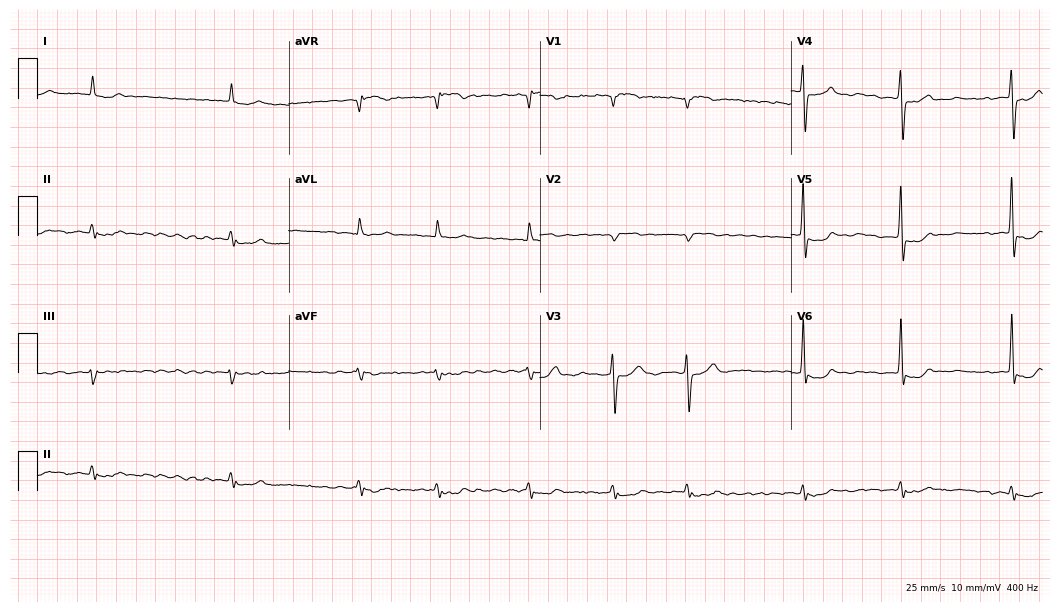
12-lead ECG from a female, 82 years old (10.2-second recording at 400 Hz). Shows atrial fibrillation (AF).